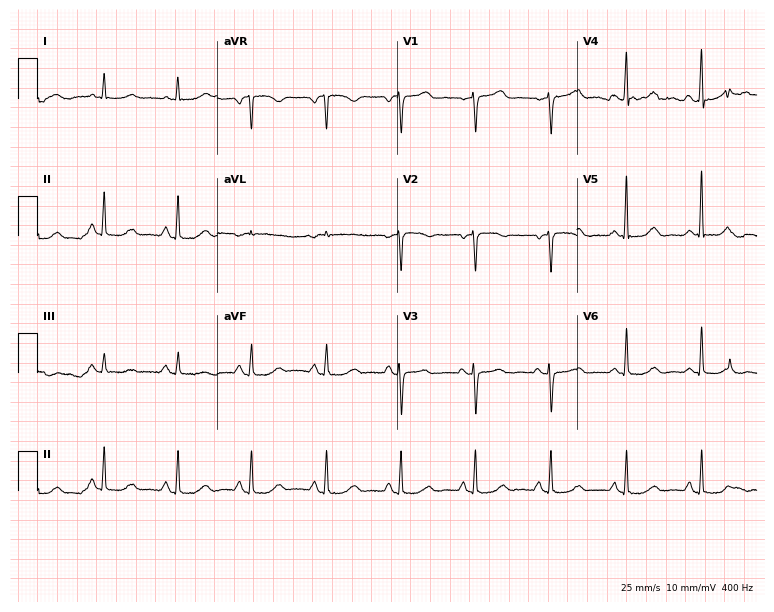
12-lead ECG from a female patient, 80 years old. Labelled as a normal ECG.